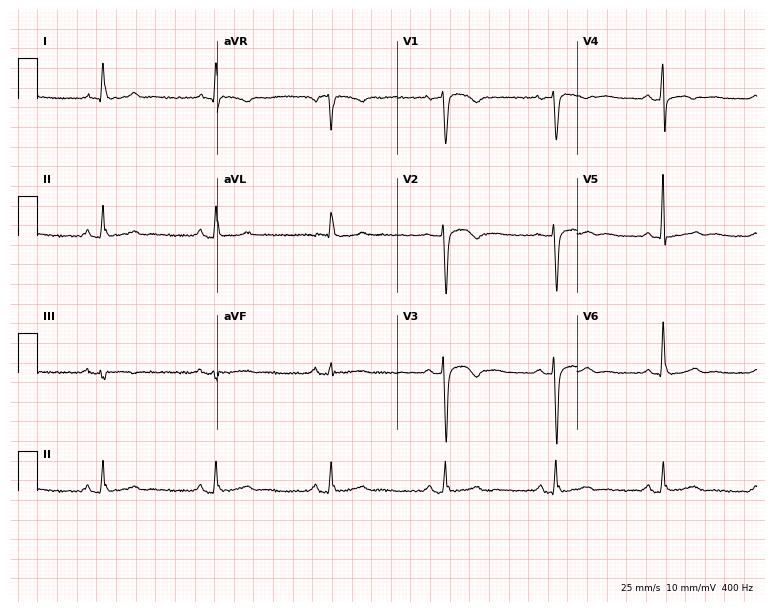
ECG — a 57-year-old female patient. Screened for six findings — first-degree AV block, right bundle branch block, left bundle branch block, sinus bradycardia, atrial fibrillation, sinus tachycardia — none is recorded. Findings outside these six are not listed.